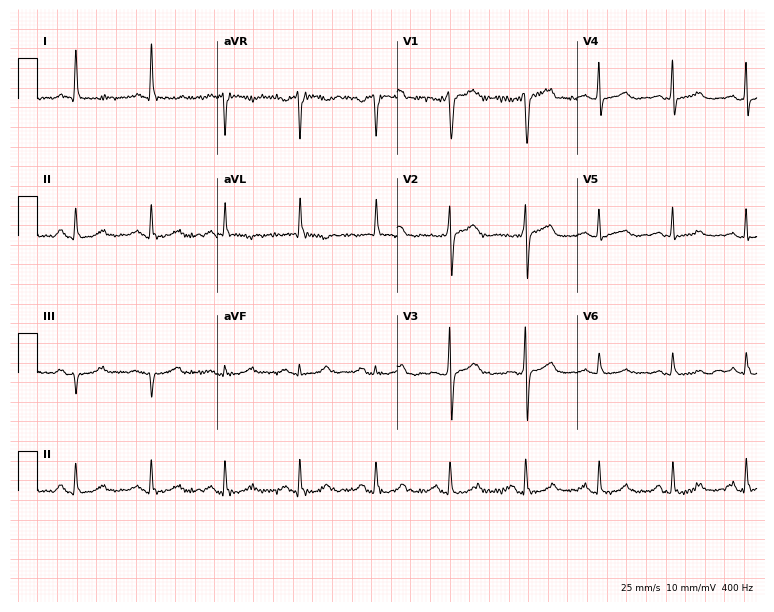
Resting 12-lead electrocardiogram (7.3-second recording at 400 Hz). Patient: a female, 64 years old. Read as a normal ECG.